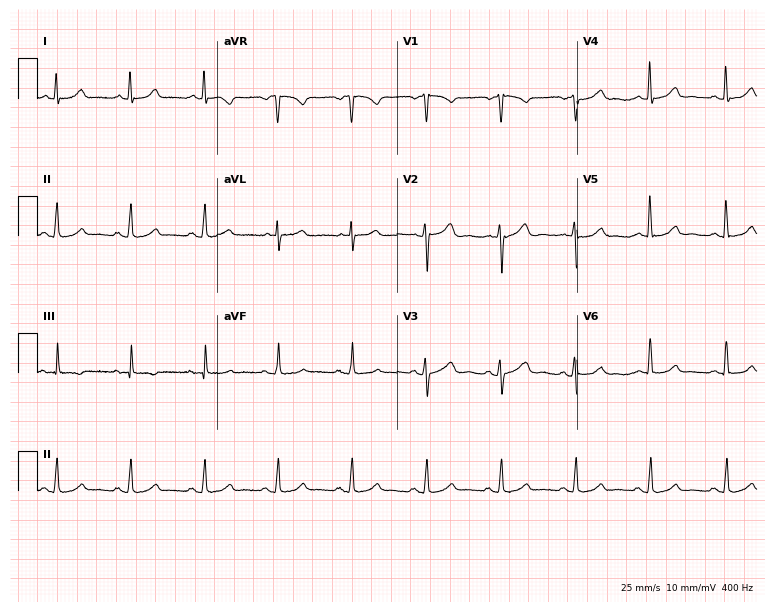
Resting 12-lead electrocardiogram (7.3-second recording at 400 Hz). Patient: a 52-year-old woman. Read as a normal ECG.